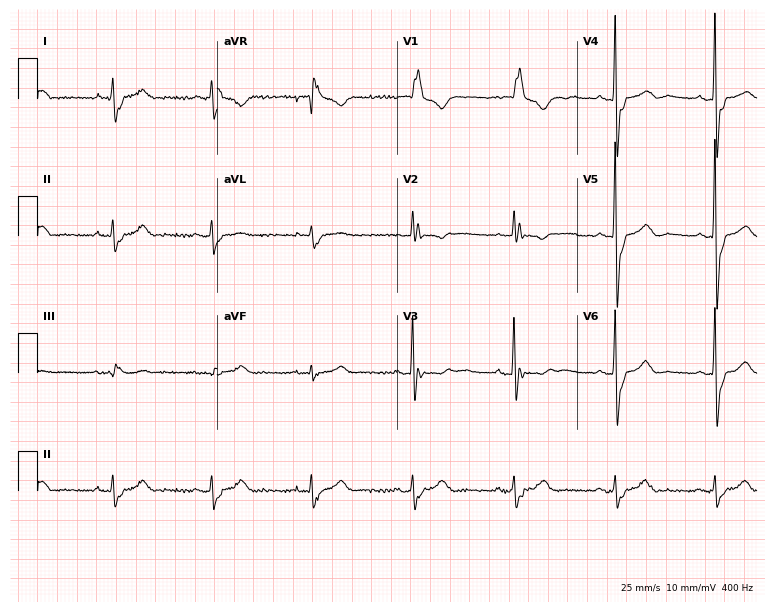
Electrocardiogram, a male, 84 years old. Interpretation includes right bundle branch block.